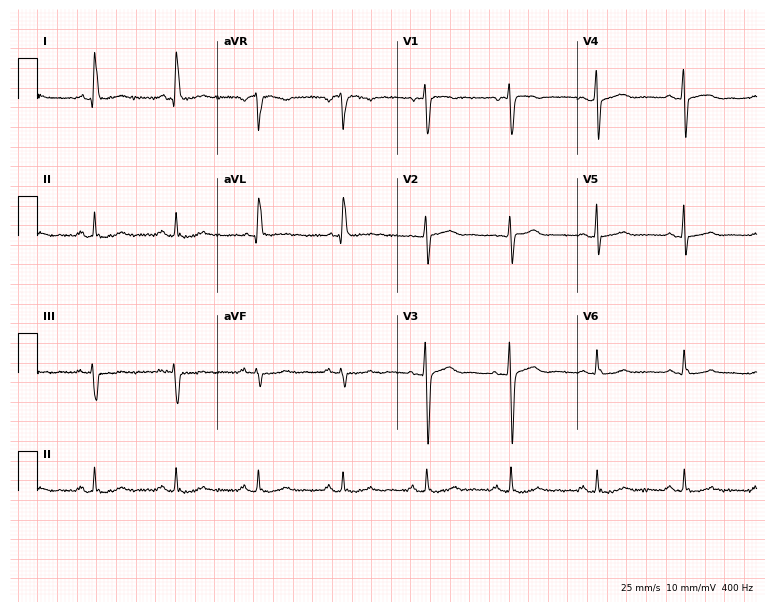
Standard 12-lead ECG recorded from a 54-year-old woman. Read as a normal ECG.